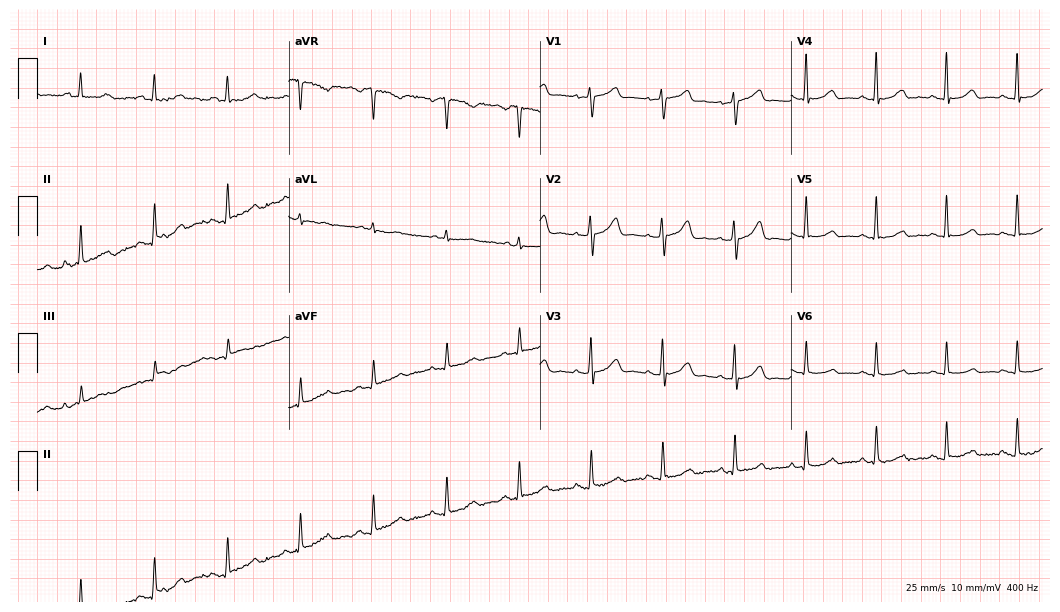
ECG — a woman, 57 years old. Labelled as a normal ECG.